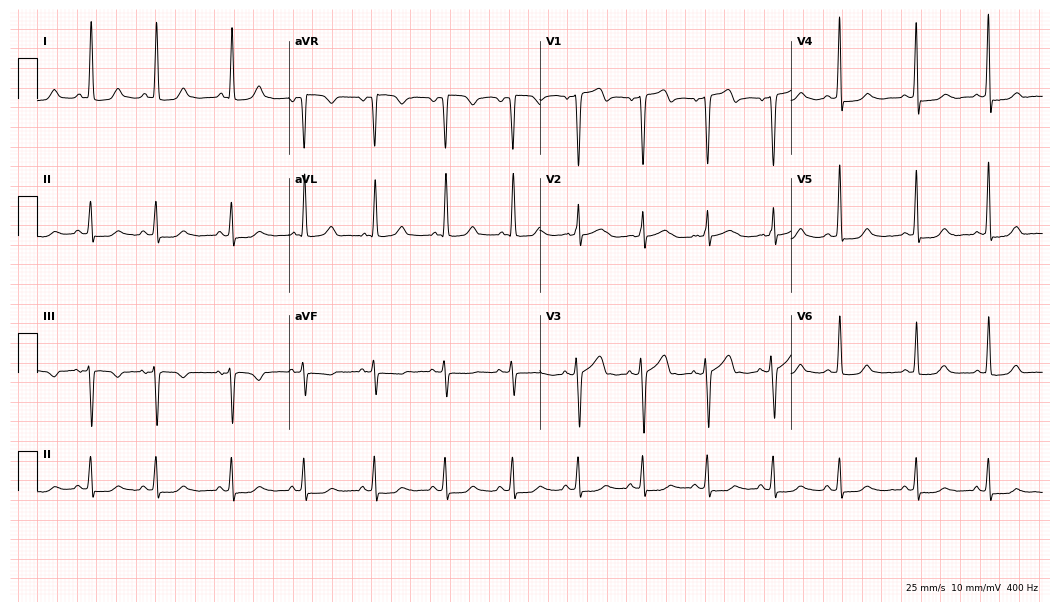
ECG — a female, 85 years old. Labelled as a normal ECG.